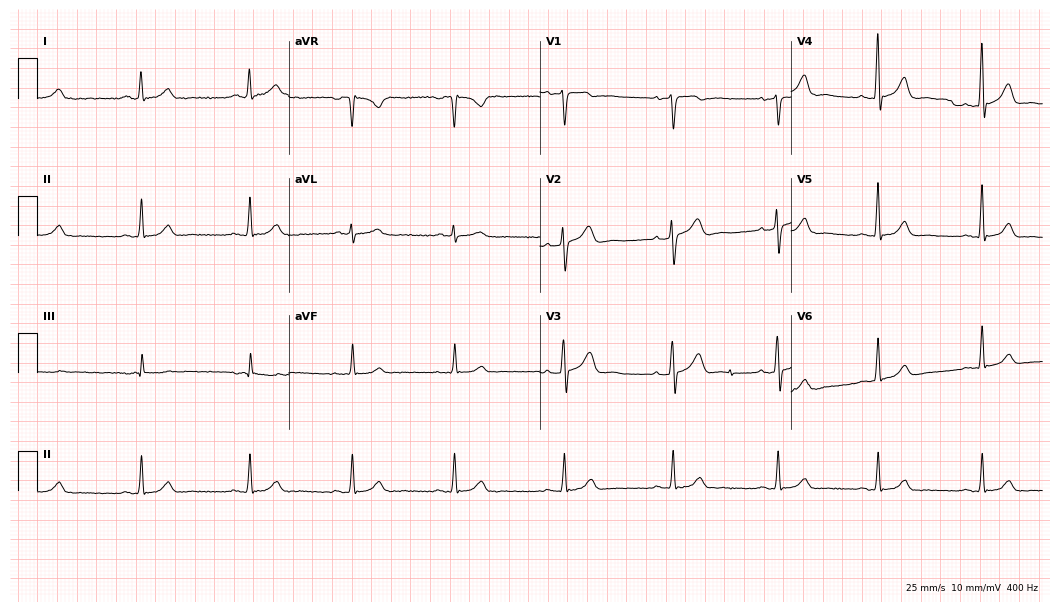
12-lead ECG from a male, 45 years old. Labelled as a normal ECG.